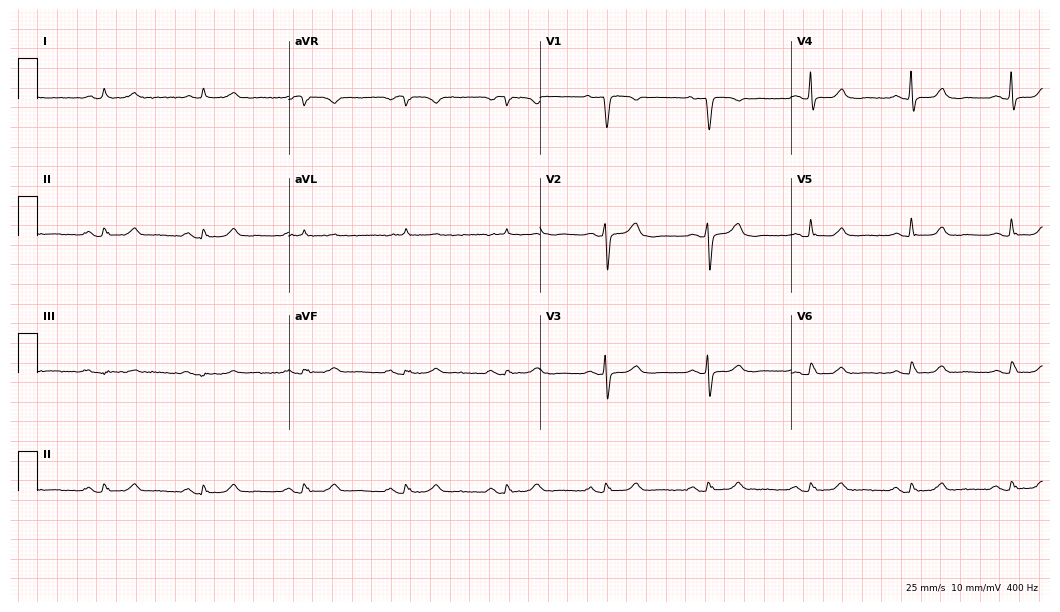
ECG — a 65-year-old female. Screened for six findings — first-degree AV block, right bundle branch block, left bundle branch block, sinus bradycardia, atrial fibrillation, sinus tachycardia — none is recorded. Other findings, if any, are not listed.